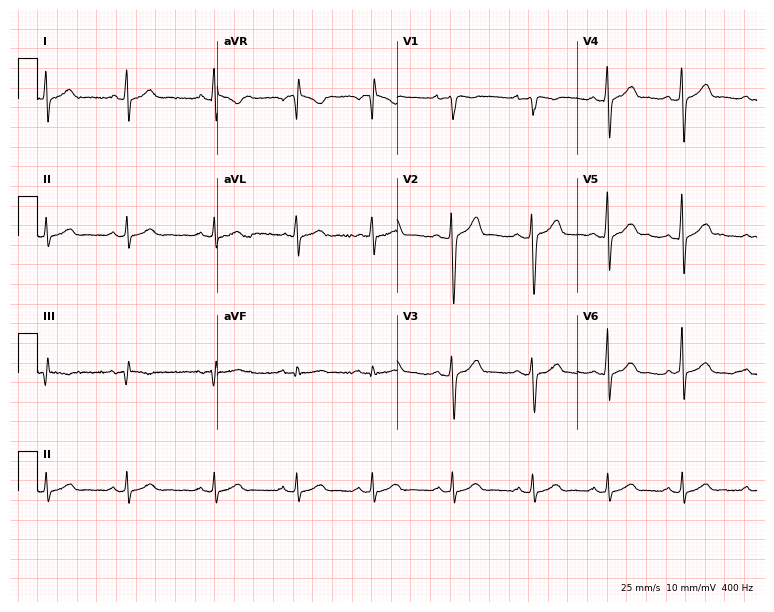
Resting 12-lead electrocardiogram (7.3-second recording at 400 Hz). Patient: a man, 29 years old. Read as a normal ECG.